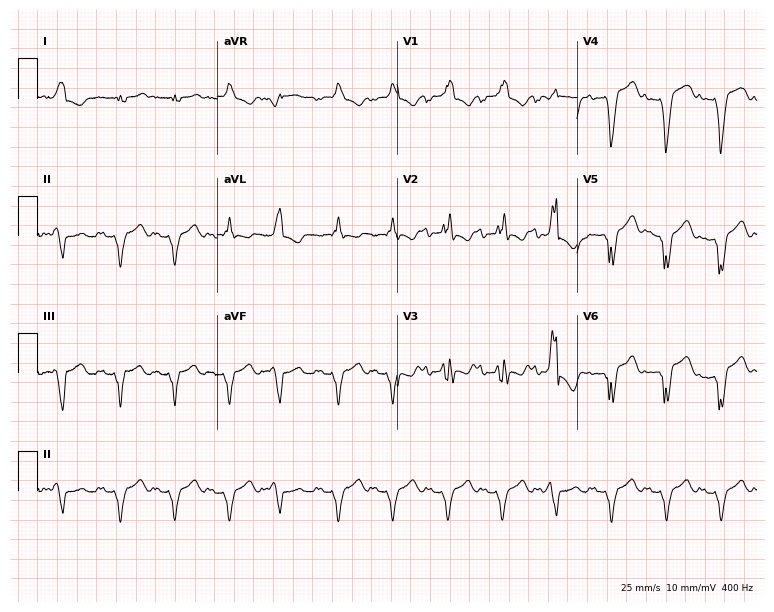
12-lead ECG (7.3-second recording at 400 Hz) from a 34-year-old male. Findings include right bundle branch block (RBBB), sinus tachycardia (a sinus rate of 100 beats per minute or more).